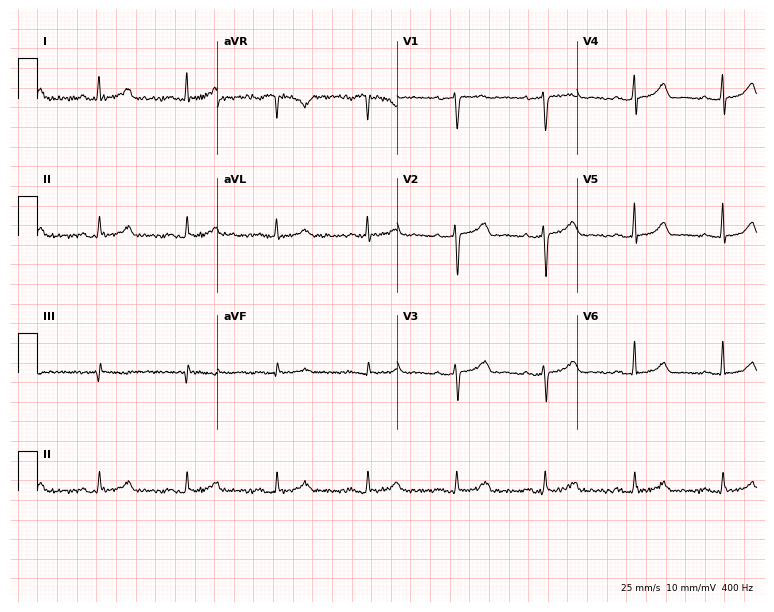
Electrocardiogram (7.3-second recording at 400 Hz), a 52-year-old female patient. Overall reading on record: normal ECG.